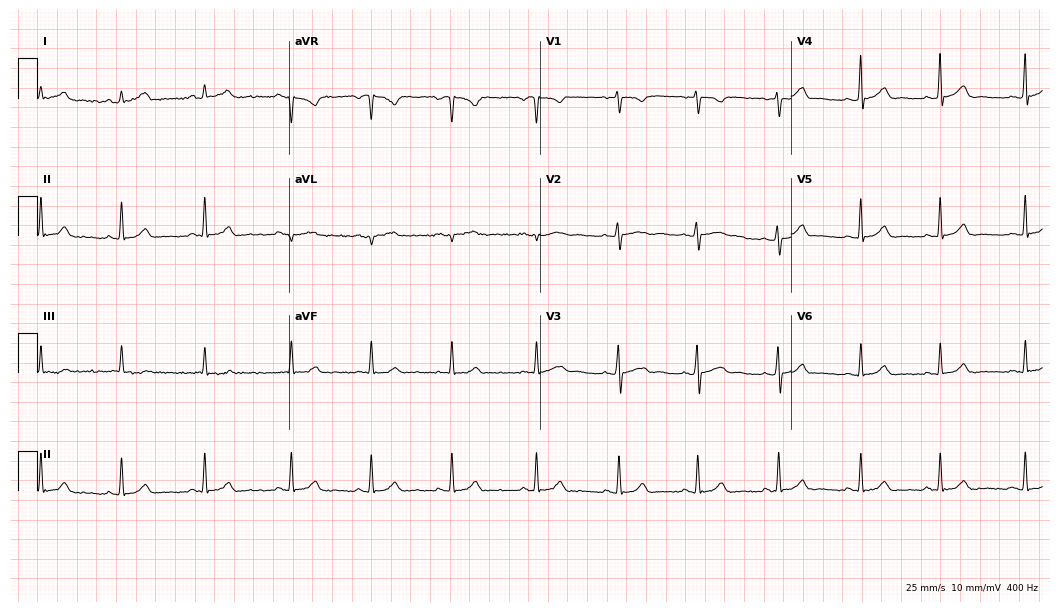
12-lead ECG from a female patient, 23 years old. Recorded interpretation: within normal limits.